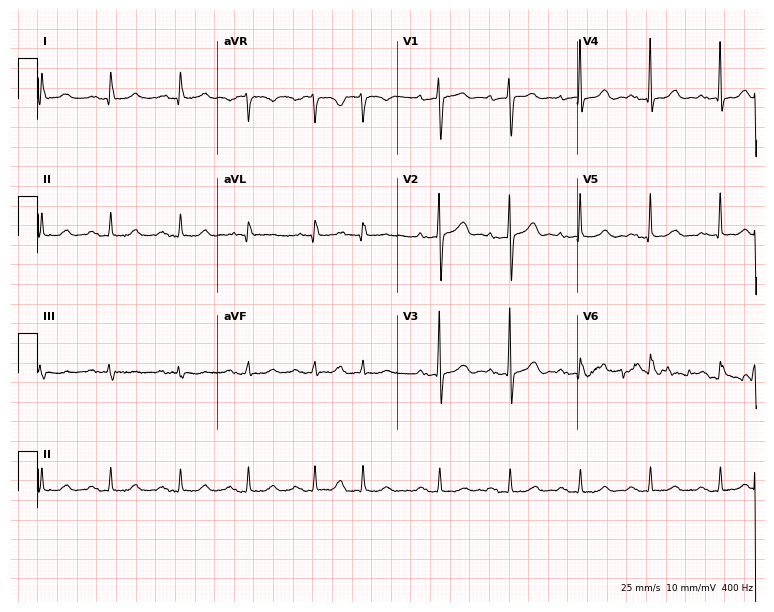
ECG (7.3-second recording at 400 Hz) — a male, 70 years old. Labelled as a normal ECG.